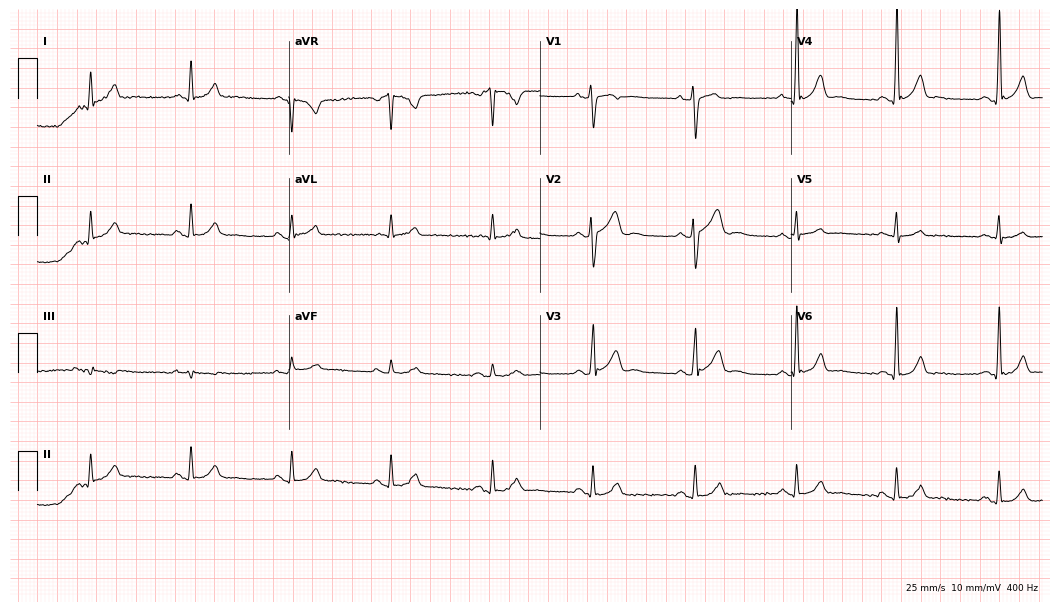
ECG (10.2-second recording at 400 Hz) — a man, 47 years old. Labelled as a normal ECG.